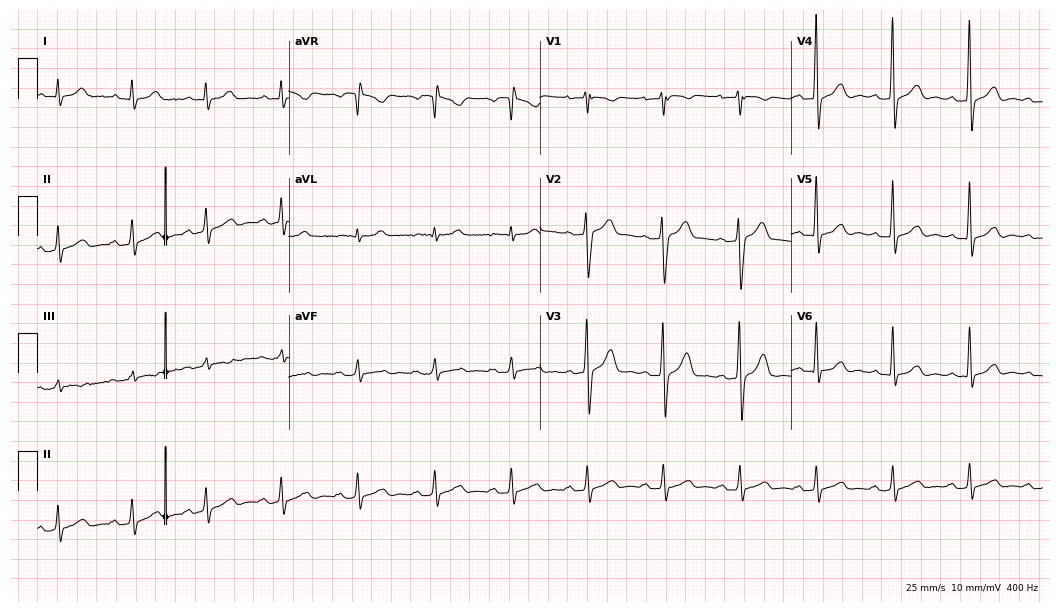
12-lead ECG from a 63-year-old man. No first-degree AV block, right bundle branch block, left bundle branch block, sinus bradycardia, atrial fibrillation or sinus tachycardia recorded for this tracing. Only these six findings were labelled.